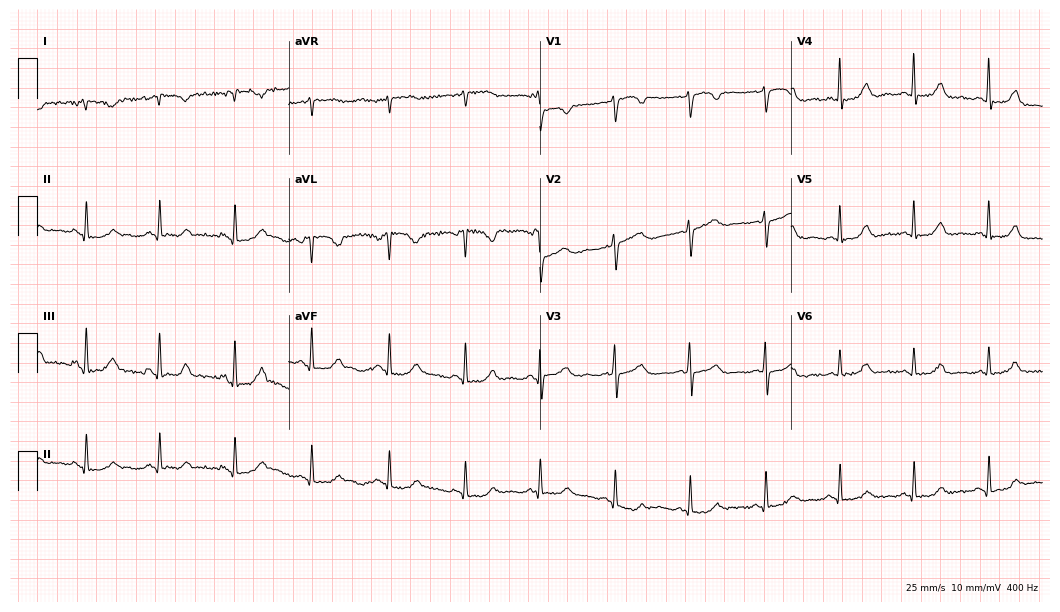
12-lead ECG from a 62-year-old woman. Screened for six findings — first-degree AV block, right bundle branch block (RBBB), left bundle branch block (LBBB), sinus bradycardia, atrial fibrillation (AF), sinus tachycardia — none is recorded.